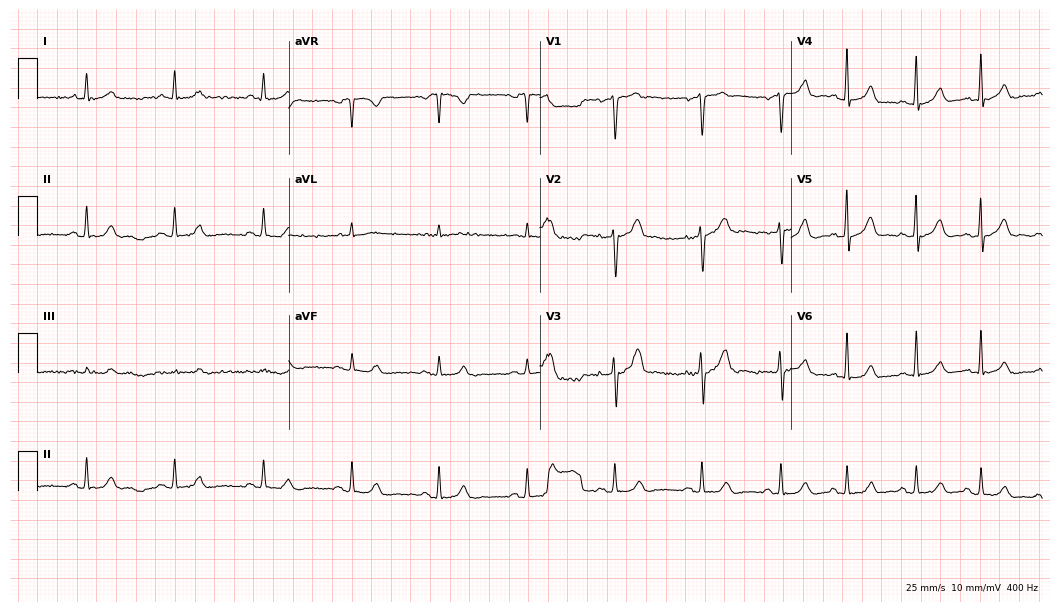
Standard 12-lead ECG recorded from a female patient, 74 years old (10.2-second recording at 400 Hz). Read as a normal ECG.